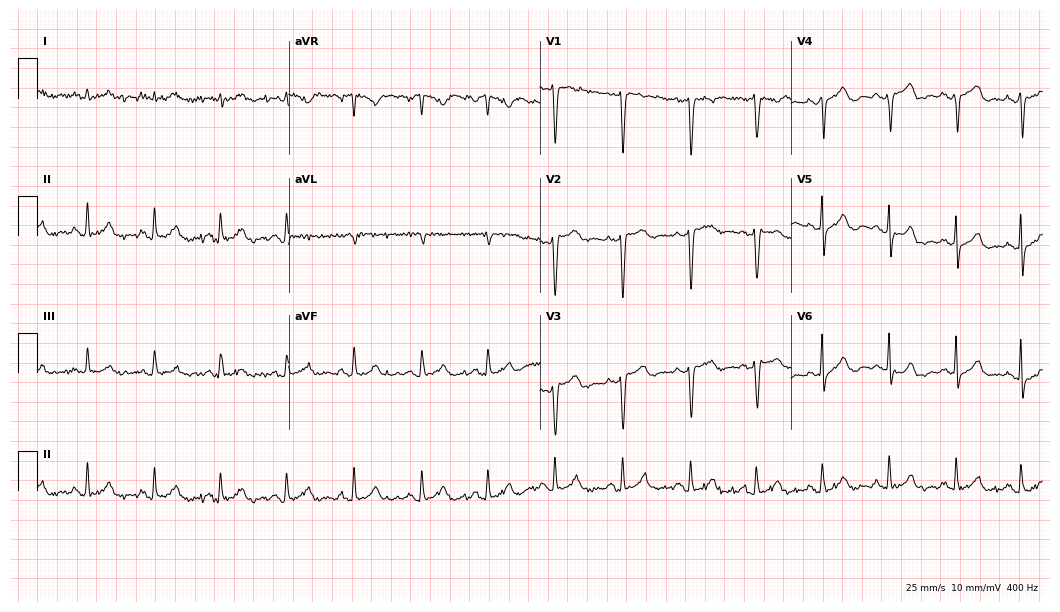
ECG (10.2-second recording at 400 Hz) — a male, 57 years old. Screened for six findings — first-degree AV block, right bundle branch block, left bundle branch block, sinus bradycardia, atrial fibrillation, sinus tachycardia — none is recorded. Findings outside these six are not listed.